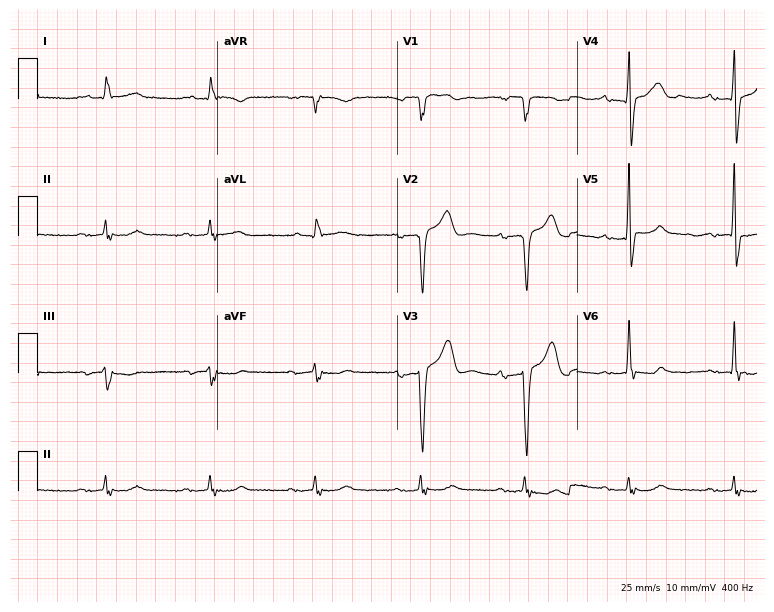
12-lead ECG from a male patient, 82 years old. No first-degree AV block, right bundle branch block (RBBB), left bundle branch block (LBBB), sinus bradycardia, atrial fibrillation (AF) or sinus tachycardia recorded for this tracing. Findings outside these six are not listed.